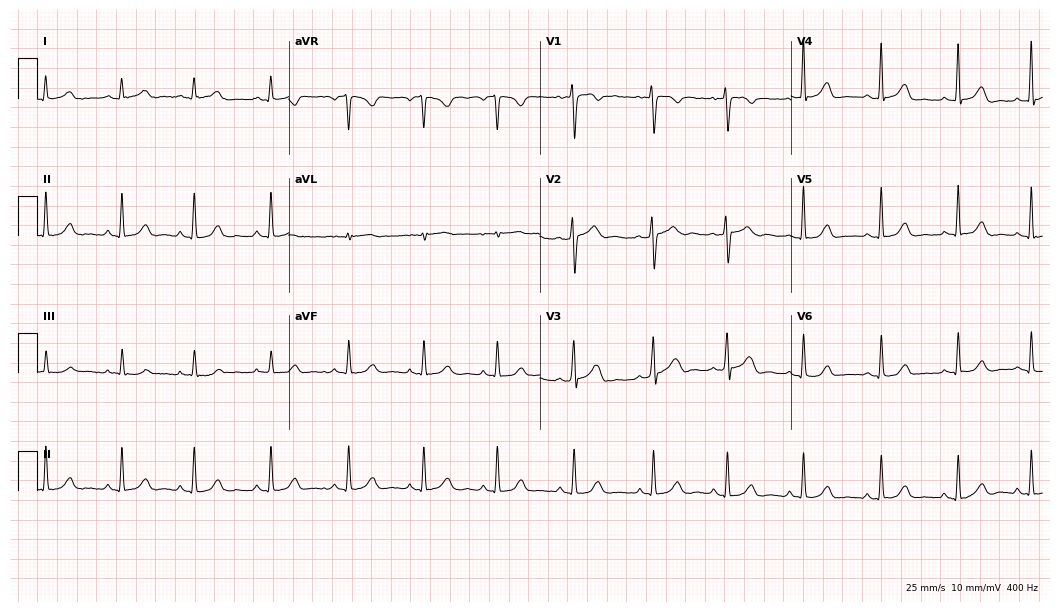
Standard 12-lead ECG recorded from a woman, 33 years old (10.2-second recording at 400 Hz). None of these six findings is recorded: first-degree AV block, right bundle branch block, left bundle branch block, sinus bradycardia, atrial fibrillation, sinus tachycardia. Only these six findings were labelled.